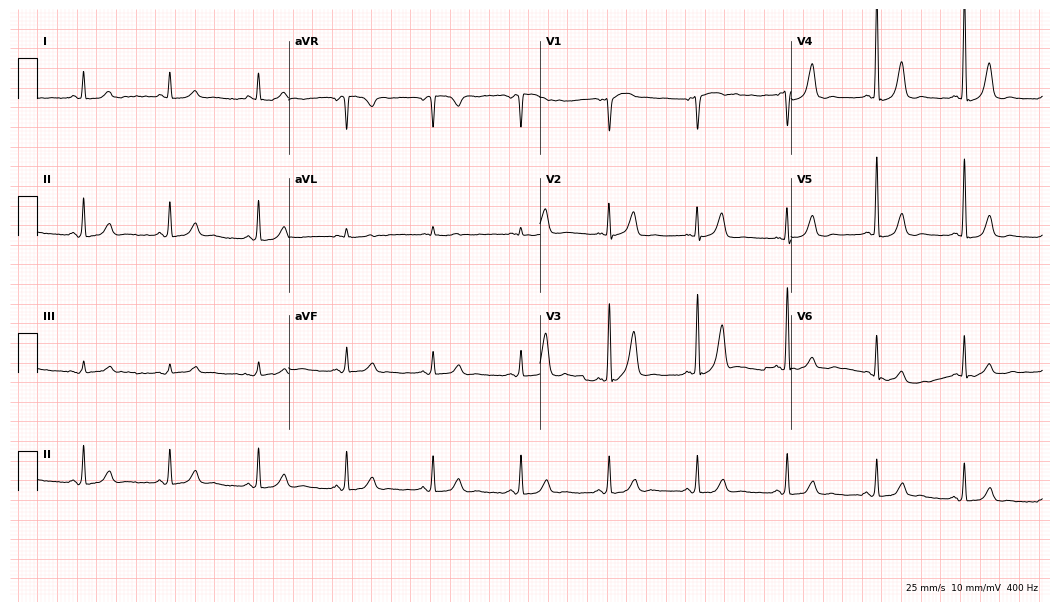
12-lead ECG (10.2-second recording at 400 Hz) from a male, 50 years old. Screened for six findings — first-degree AV block, right bundle branch block, left bundle branch block, sinus bradycardia, atrial fibrillation, sinus tachycardia — none is recorded.